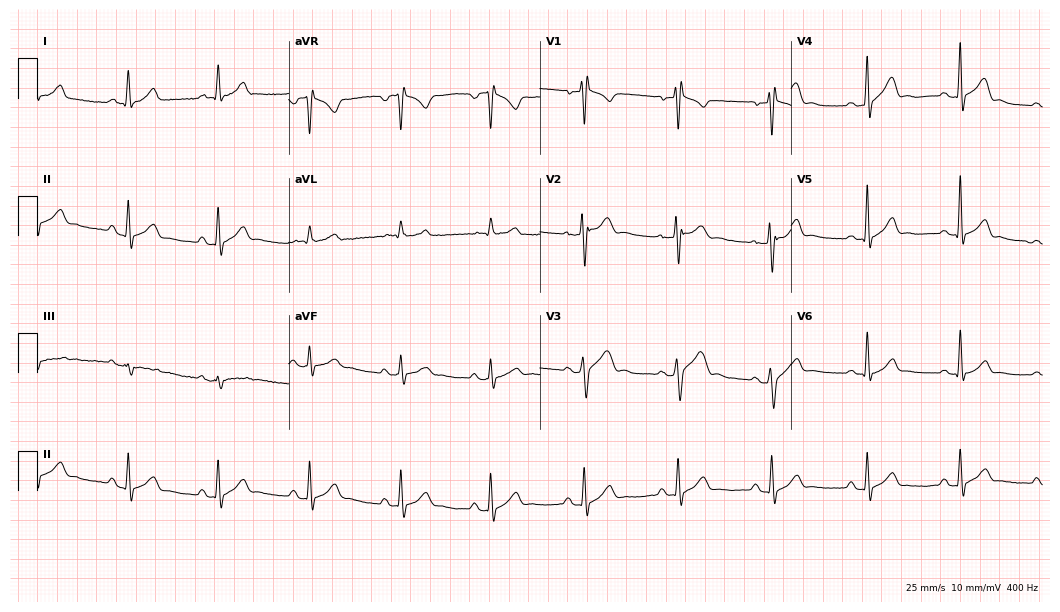
Standard 12-lead ECG recorded from a 31-year-old male (10.2-second recording at 400 Hz). None of these six findings is recorded: first-degree AV block, right bundle branch block, left bundle branch block, sinus bradycardia, atrial fibrillation, sinus tachycardia. Only these six findings were labelled.